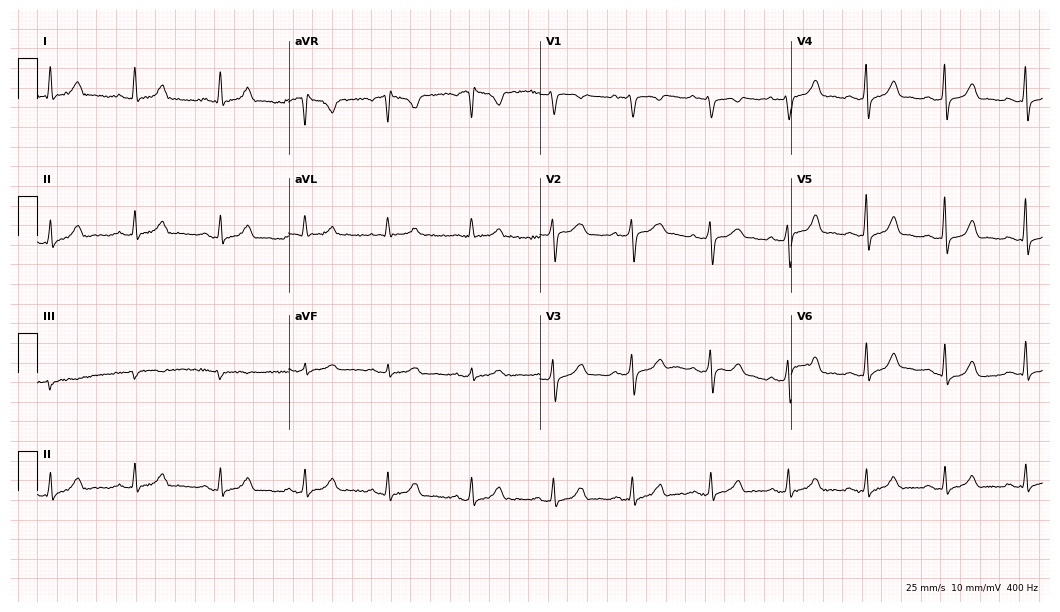
Resting 12-lead electrocardiogram. Patient: a 33-year-old female. Read as a normal ECG.